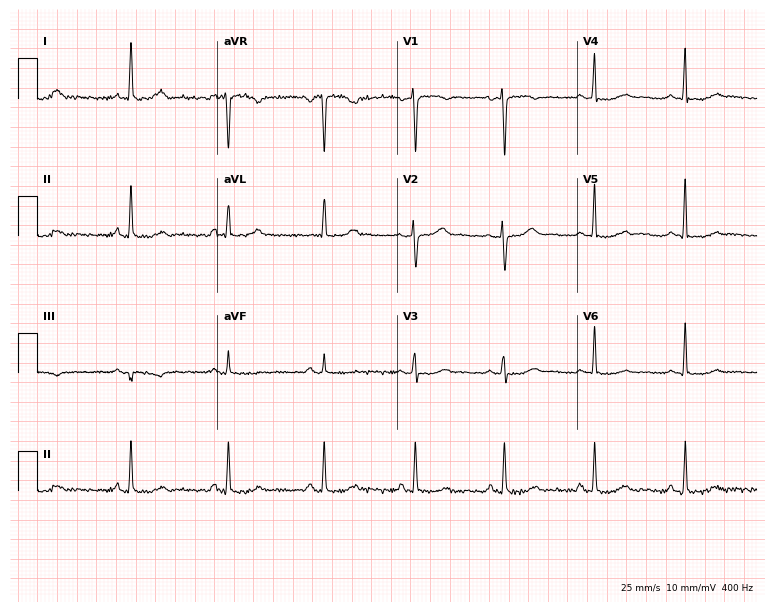
Resting 12-lead electrocardiogram (7.3-second recording at 400 Hz). Patient: a 45-year-old female. None of these six findings is recorded: first-degree AV block, right bundle branch block, left bundle branch block, sinus bradycardia, atrial fibrillation, sinus tachycardia.